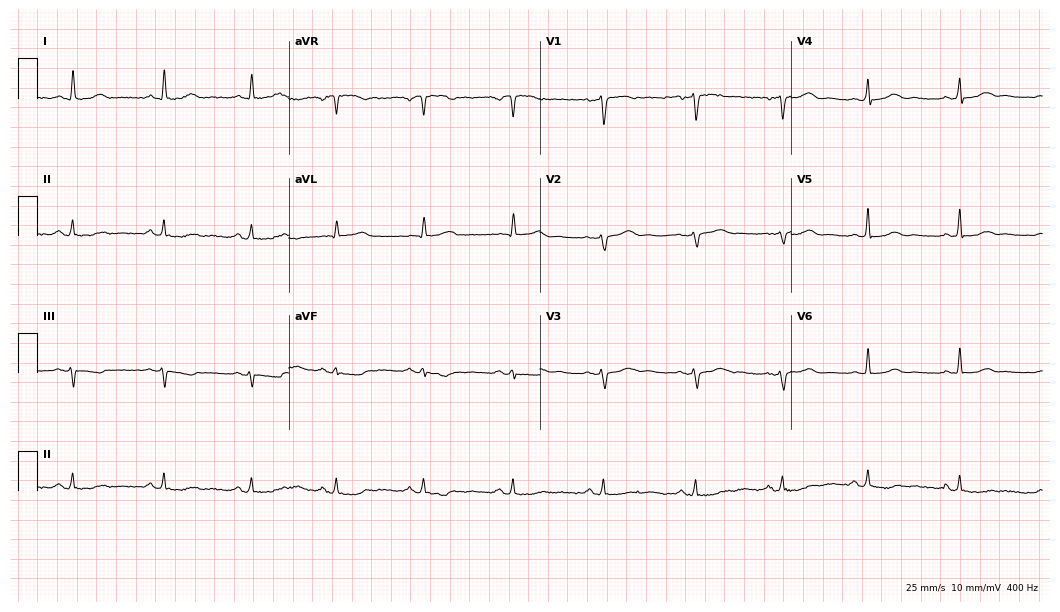
Resting 12-lead electrocardiogram (10.2-second recording at 400 Hz). Patient: a 48-year-old woman. None of these six findings is recorded: first-degree AV block, right bundle branch block, left bundle branch block, sinus bradycardia, atrial fibrillation, sinus tachycardia. Only these six findings were labelled.